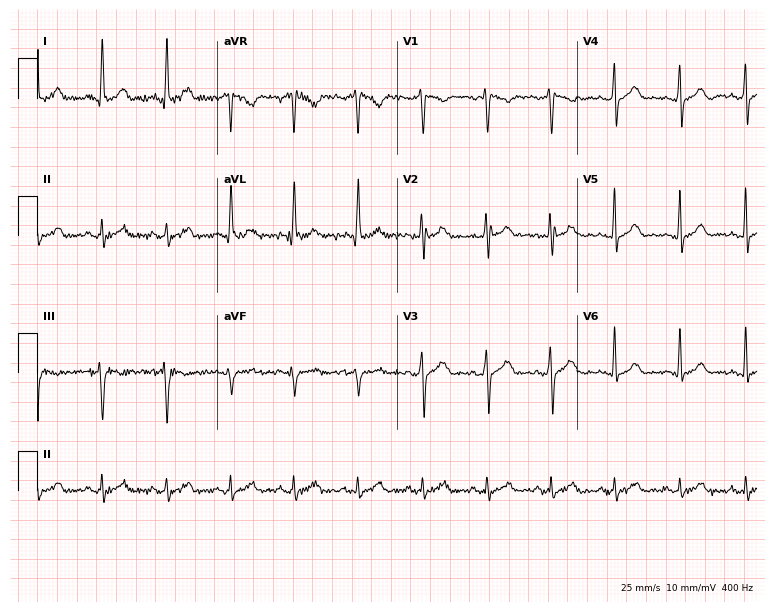
Standard 12-lead ECG recorded from a man, 36 years old. Read as a normal ECG.